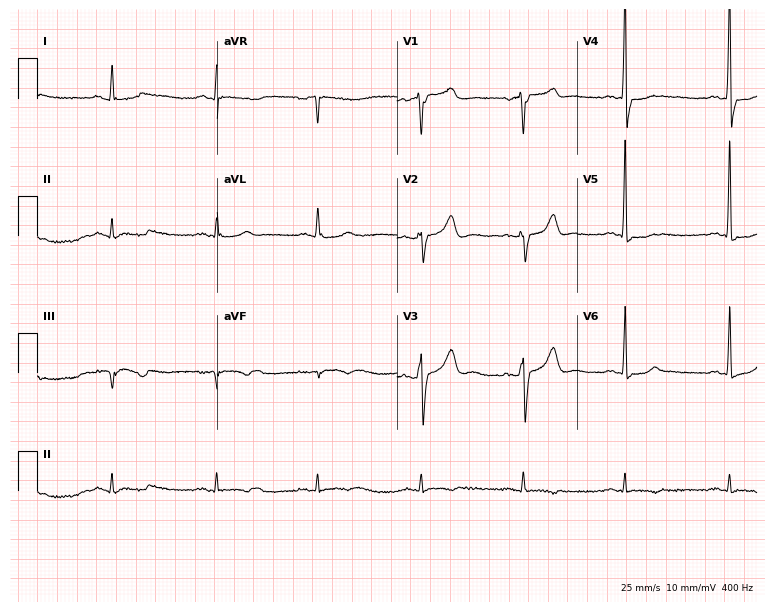
Standard 12-lead ECG recorded from a male patient, 69 years old. None of these six findings is recorded: first-degree AV block, right bundle branch block, left bundle branch block, sinus bradycardia, atrial fibrillation, sinus tachycardia.